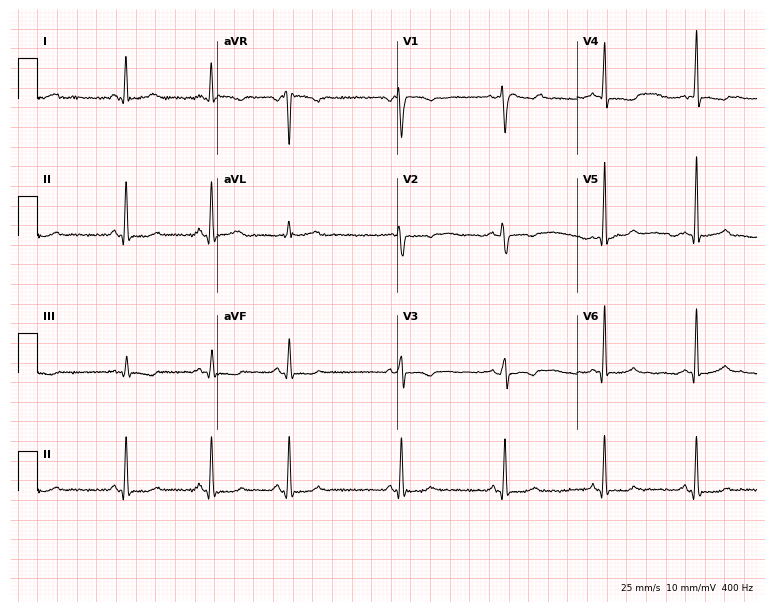
12-lead ECG (7.3-second recording at 400 Hz) from a woman, 36 years old. Screened for six findings — first-degree AV block, right bundle branch block (RBBB), left bundle branch block (LBBB), sinus bradycardia, atrial fibrillation (AF), sinus tachycardia — none is recorded. Other findings, if any, are not listed.